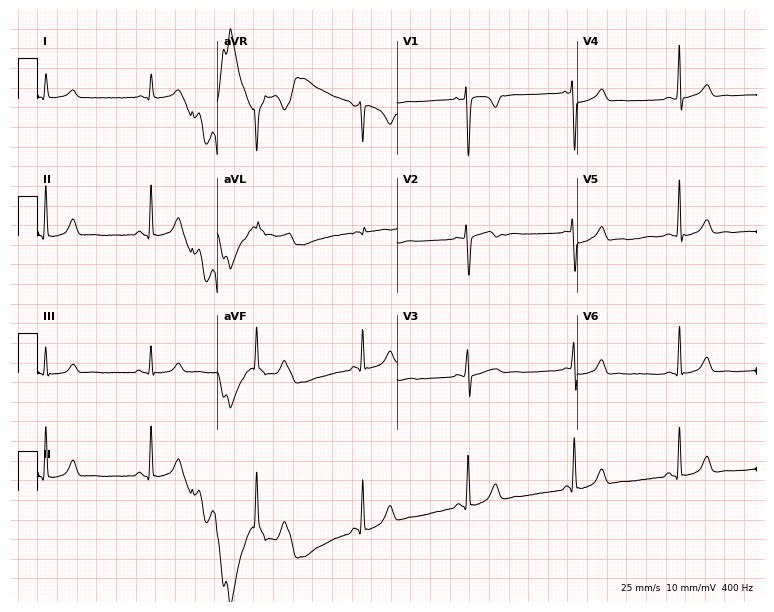
12-lead ECG from a woman, 19 years old. No first-degree AV block, right bundle branch block, left bundle branch block, sinus bradycardia, atrial fibrillation or sinus tachycardia recorded for this tracing. Other findings, if any, are not listed.